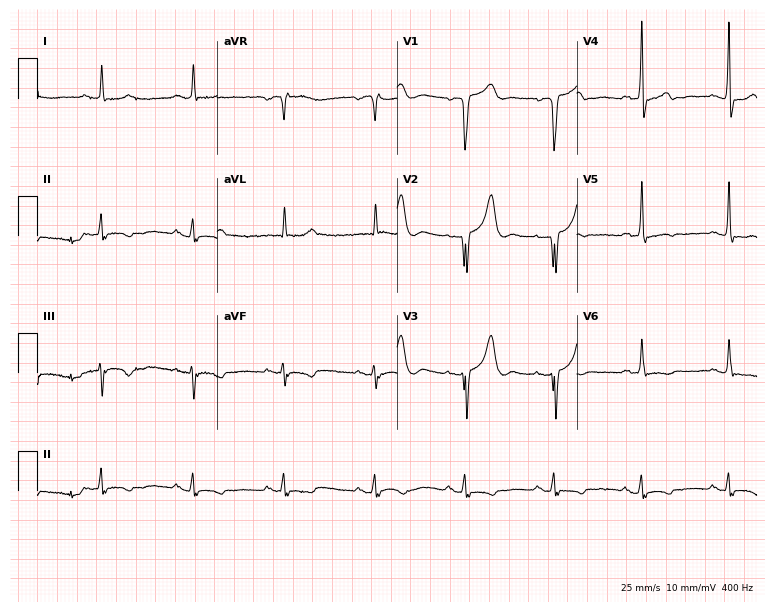
12-lead ECG from an 81-year-old woman. No first-degree AV block, right bundle branch block, left bundle branch block, sinus bradycardia, atrial fibrillation or sinus tachycardia recorded for this tracing.